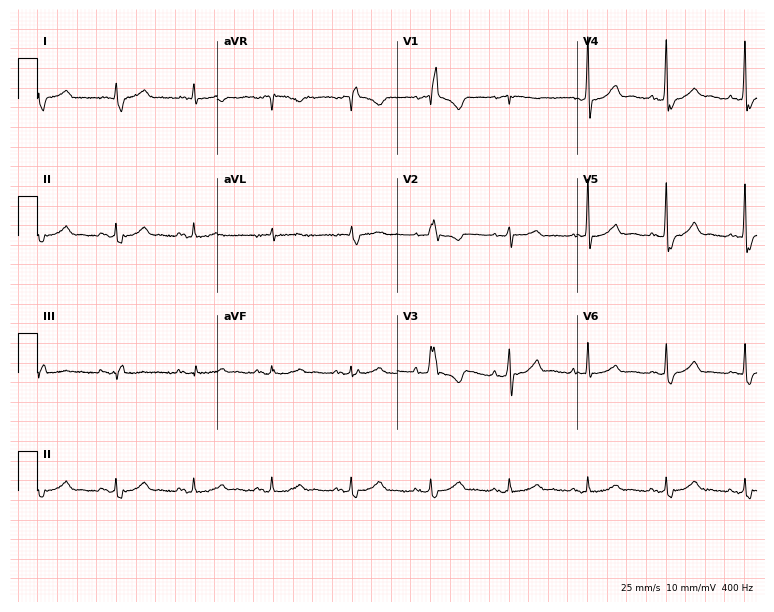
ECG (7.3-second recording at 400 Hz) — a man, 71 years old. Screened for six findings — first-degree AV block, right bundle branch block (RBBB), left bundle branch block (LBBB), sinus bradycardia, atrial fibrillation (AF), sinus tachycardia — none is recorded.